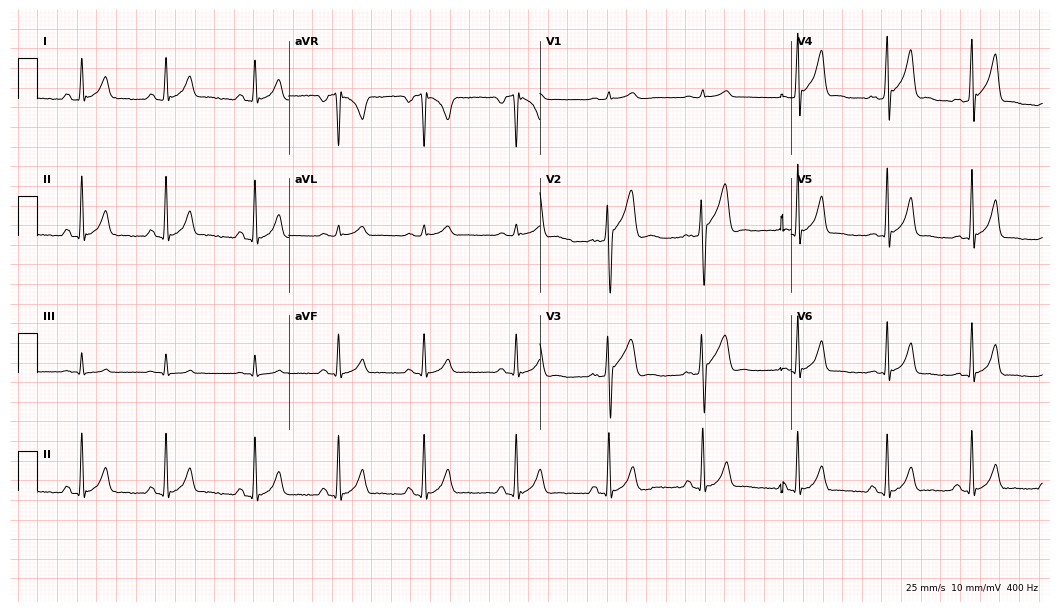
ECG (10.2-second recording at 400 Hz) — a man, 22 years old. Labelled as a normal ECG.